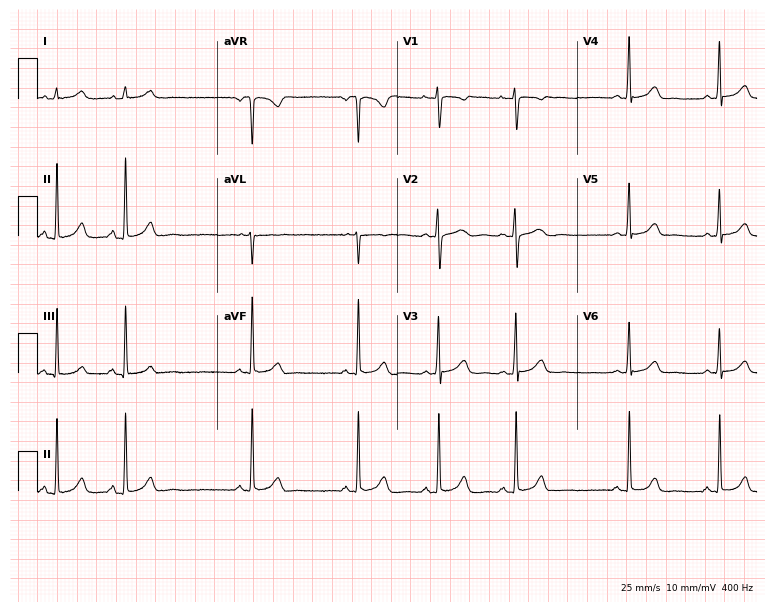
Resting 12-lead electrocardiogram (7.3-second recording at 400 Hz). Patient: a 24-year-old female. None of these six findings is recorded: first-degree AV block, right bundle branch block (RBBB), left bundle branch block (LBBB), sinus bradycardia, atrial fibrillation (AF), sinus tachycardia.